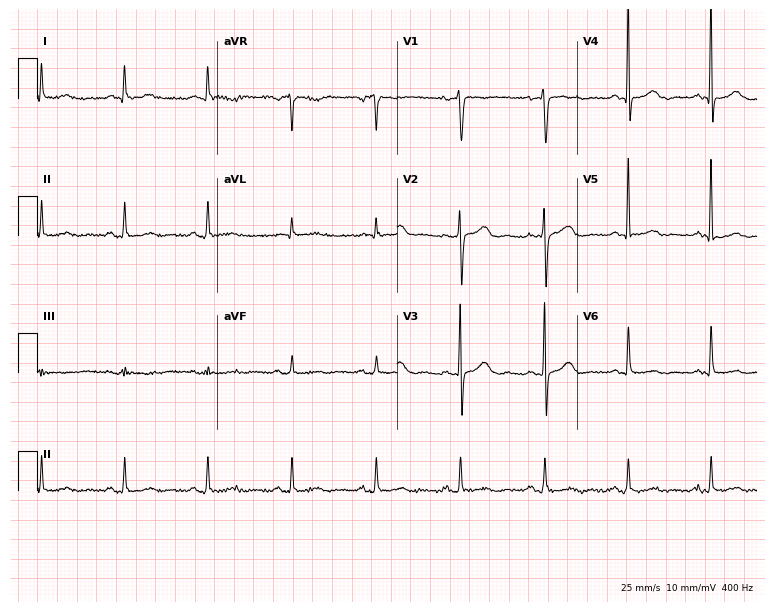
Standard 12-lead ECG recorded from a 70-year-old man (7.3-second recording at 400 Hz). None of these six findings is recorded: first-degree AV block, right bundle branch block, left bundle branch block, sinus bradycardia, atrial fibrillation, sinus tachycardia.